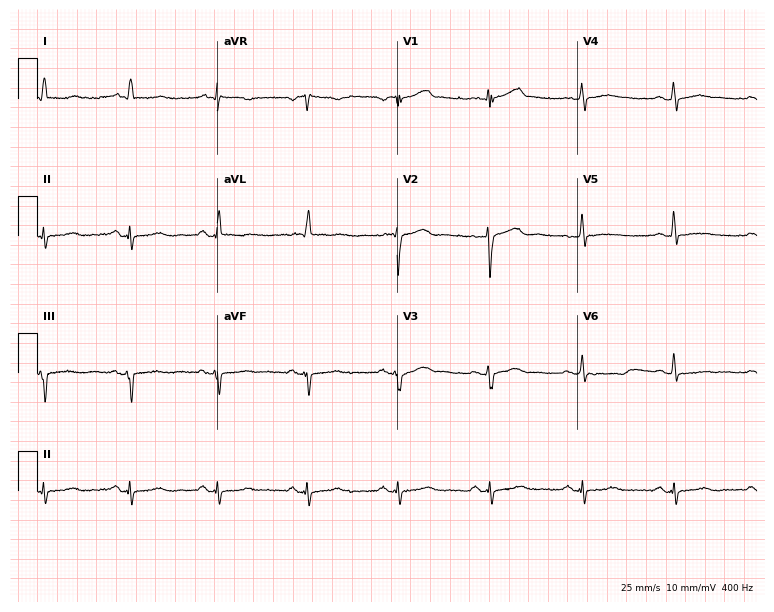
Resting 12-lead electrocardiogram. Patient: a 67-year-old woman. None of these six findings is recorded: first-degree AV block, right bundle branch block, left bundle branch block, sinus bradycardia, atrial fibrillation, sinus tachycardia. Only these six findings were labelled.